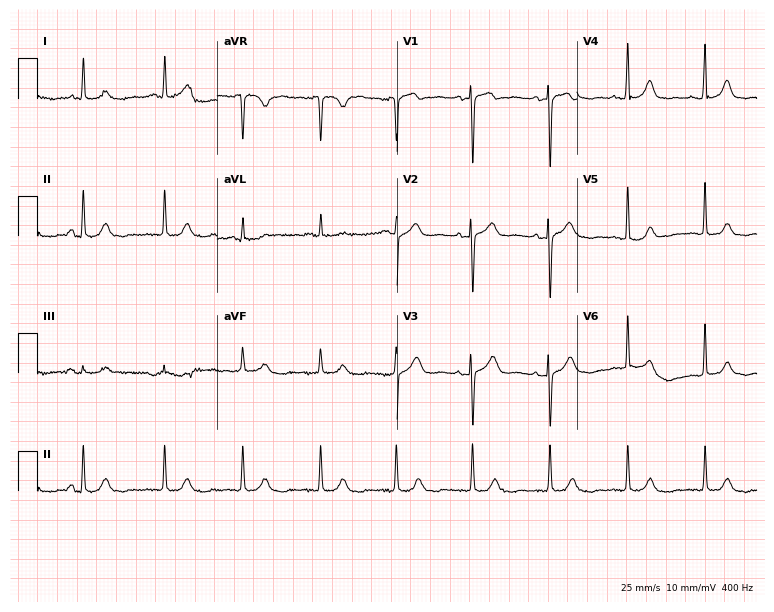
12-lead ECG from a woman, 71 years old (7.3-second recording at 400 Hz). No first-degree AV block, right bundle branch block (RBBB), left bundle branch block (LBBB), sinus bradycardia, atrial fibrillation (AF) or sinus tachycardia recorded for this tracing.